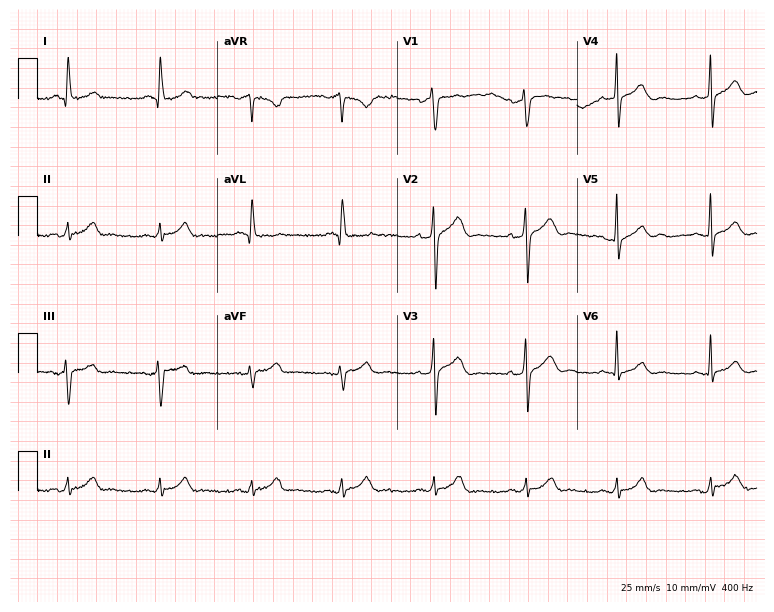
Resting 12-lead electrocardiogram. Patient: a man, 57 years old. Read as a normal ECG.